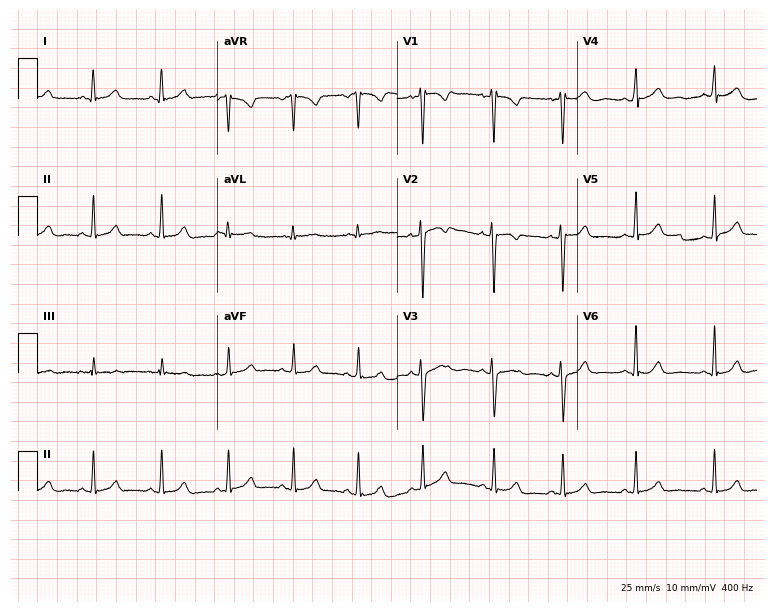
Standard 12-lead ECG recorded from a female, 18 years old. Read as a normal ECG.